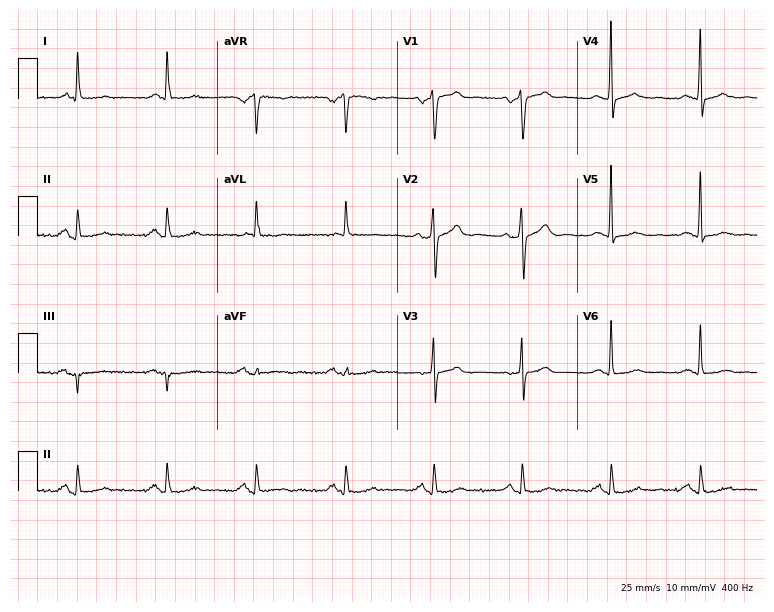
12-lead ECG from a 64-year-old male patient. Screened for six findings — first-degree AV block, right bundle branch block, left bundle branch block, sinus bradycardia, atrial fibrillation, sinus tachycardia — none is recorded.